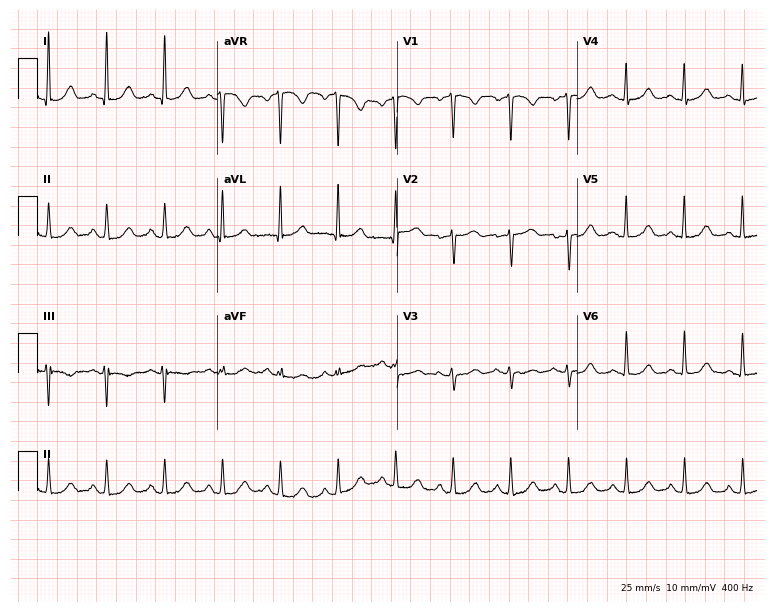
12-lead ECG (7.3-second recording at 400 Hz) from a female, 52 years old. Findings include sinus tachycardia (a sinus rate of 100 beats per minute or more).